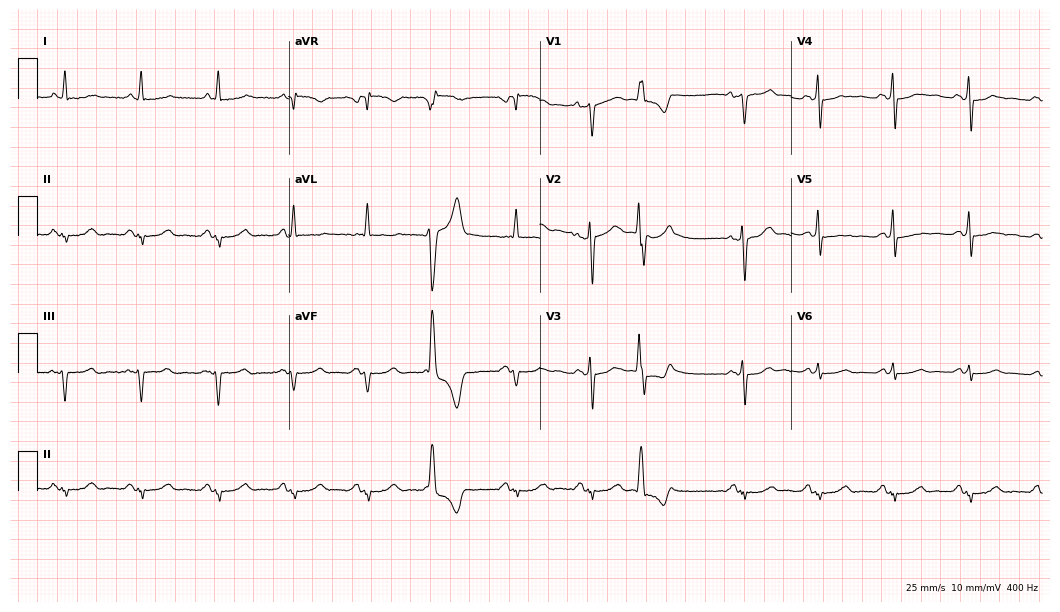
12-lead ECG from a woman, 56 years old. Screened for six findings — first-degree AV block, right bundle branch block, left bundle branch block, sinus bradycardia, atrial fibrillation, sinus tachycardia — none is recorded. Findings outside these six are not listed.